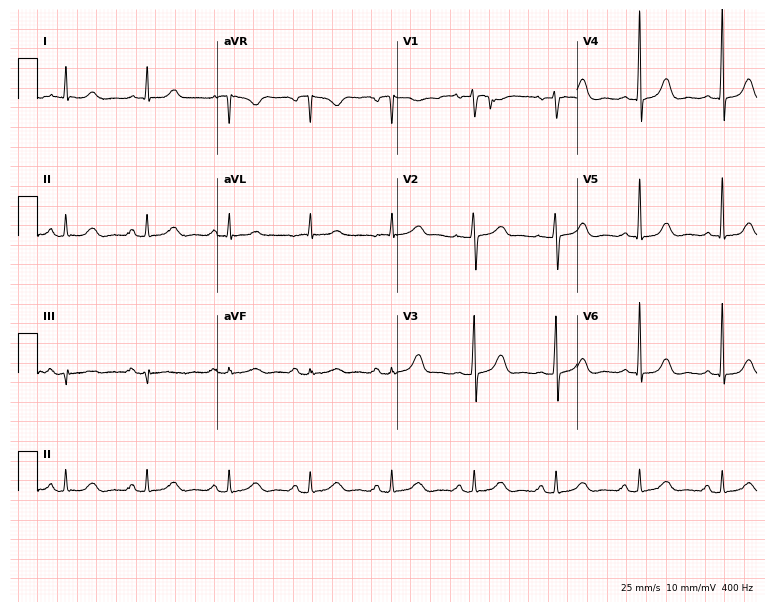
ECG (7.3-second recording at 400 Hz) — a 52-year-old woman. Labelled as a normal ECG.